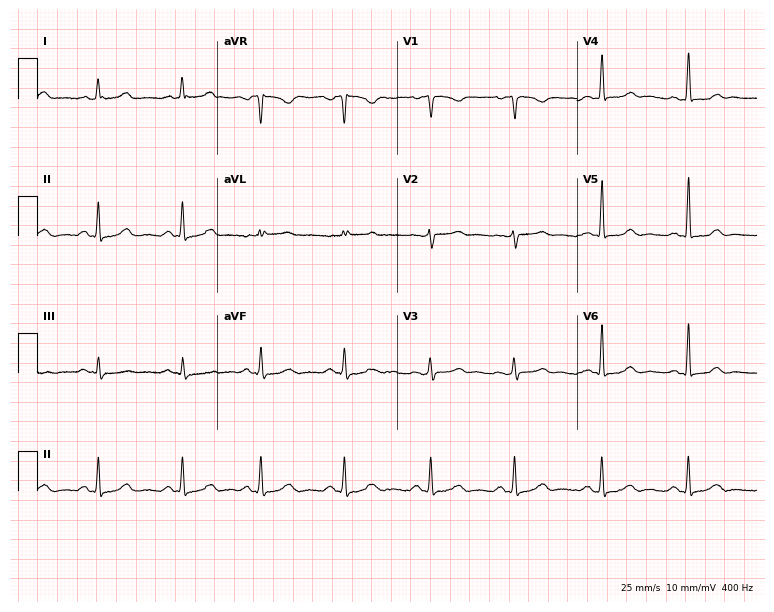
Resting 12-lead electrocardiogram. Patient: a 41-year-old female. Read as a normal ECG.